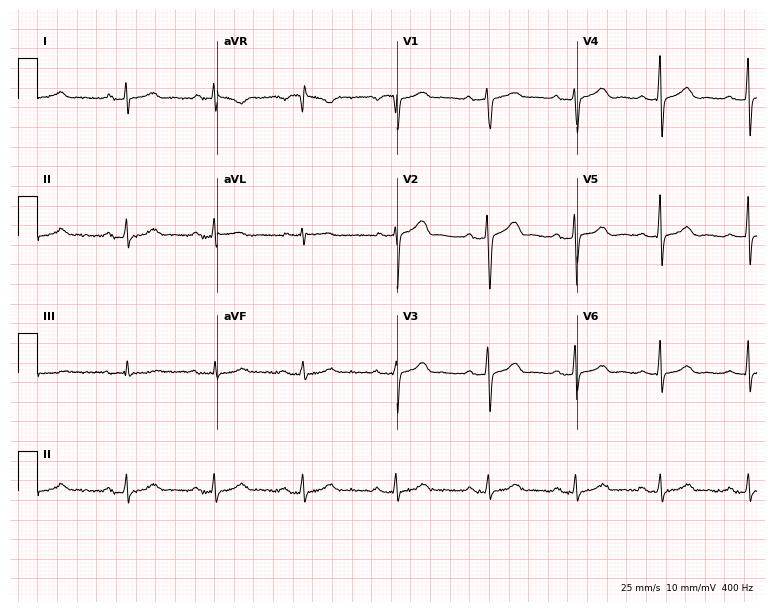
ECG (7.3-second recording at 400 Hz) — a 28-year-old female. Labelled as a normal ECG.